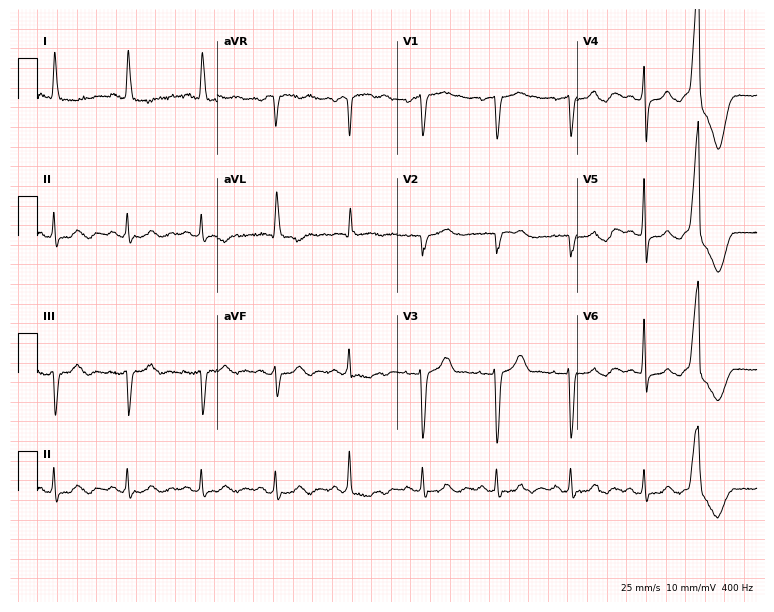
Electrocardiogram (7.3-second recording at 400 Hz), a female, 71 years old. Of the six screened findings (first-degree AV block, right bundle branch block (RBBB), left bundle branch block (LBBB), sinus bradycardia, atrial fibrillation (AF), sinus tachycardia), none is recorded.